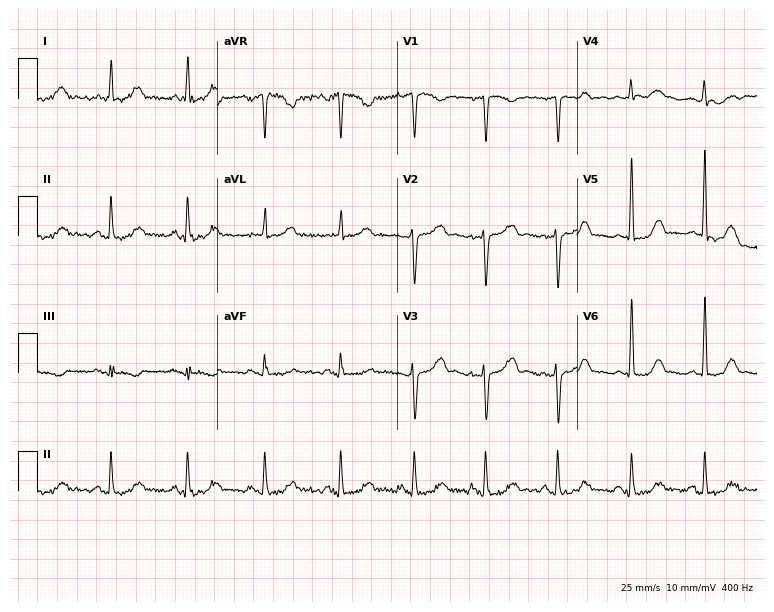
Resting 12-lead electrocardiogram. Patient: a 45-year-old male. None of these six findings is recorded: first-degree AV block, right bundle branch block, left bundle branch block, sinus bradycardia, atrial fibrillation, sinus tachycardia.